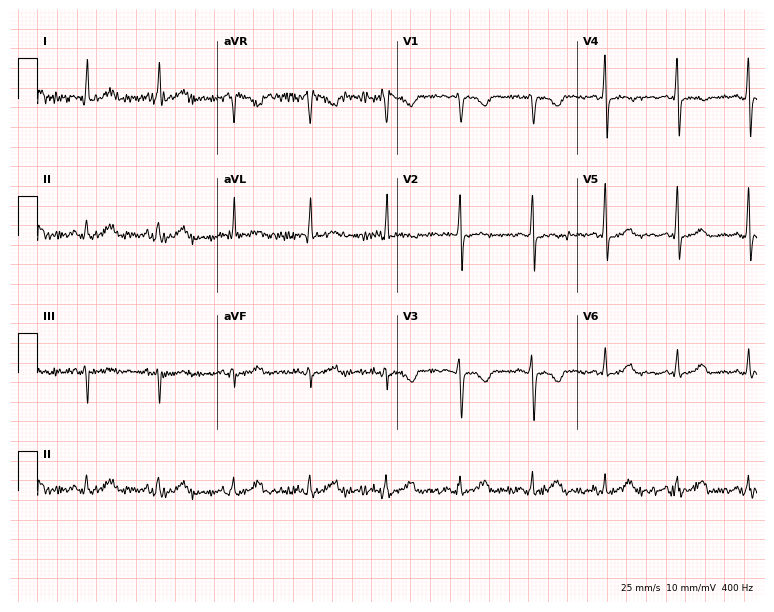
Resting 12-lead electrocardiogram. Patient: a 52-year-old female. None of these six findings is recorded: first-degree AV block, right bundle branch block, left bundle branch block, sinus bradycardia, atrial fibrillation, sinus tachycardia. Other findings, if any, are not listed.